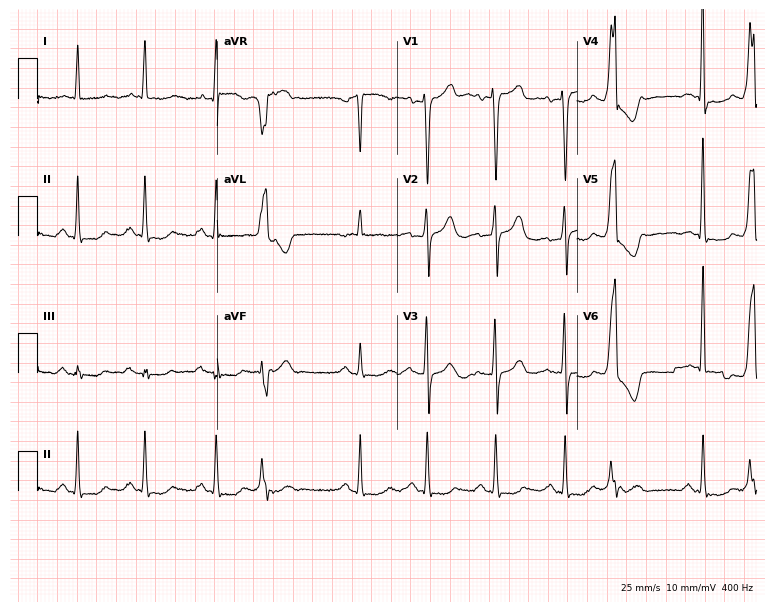
12-lead ECG (7.3-second recording at 400 Hz) from a male patient, 84 years old. Screened for six findings — first-degree AV block, right bundle branch block, left bundle branch block, sinus bradycardia, atrial fibrillation, sinus tachycardia — none is recorded. Only these six findings were labelled.